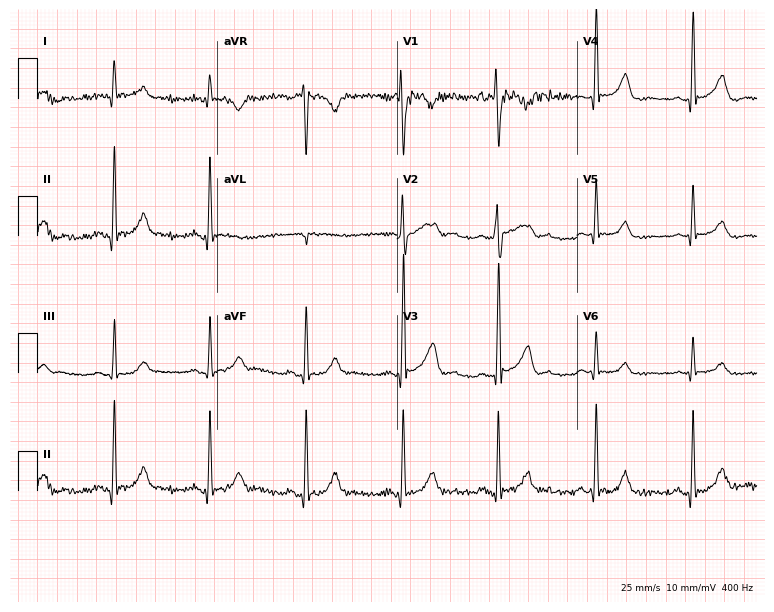
Standard 12-lead ECG recorded from a male, 55 years old. Read as a normal ECG.